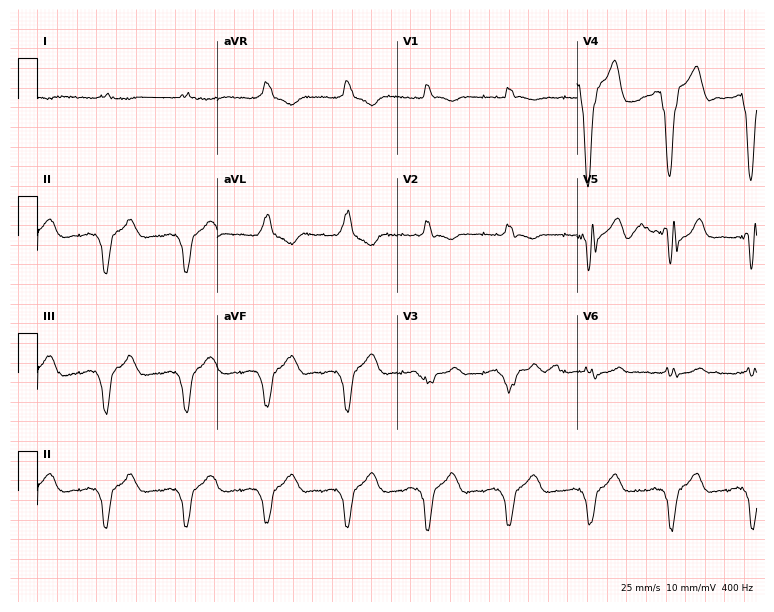
Resting 12-lead electrocardiogram. Patient: a male, 82 years old. None of these six findings is recorded: first-degree AV block, right bundle branch block, left bundle branch block, sinus bradycardia, atrial fibrillation, sinus tachycardia. Findings outside these six are not listed.